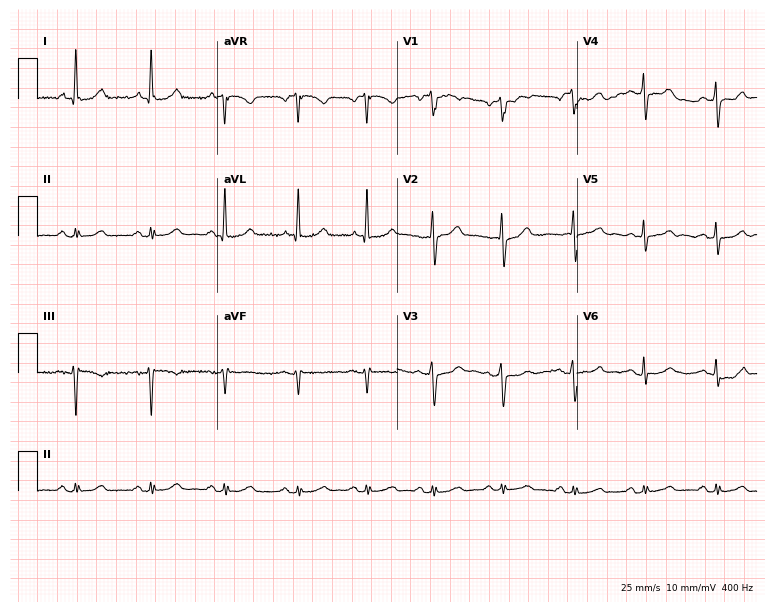
12-lead ECG from a 54-year-old woman. Labelled as a normal ECG.